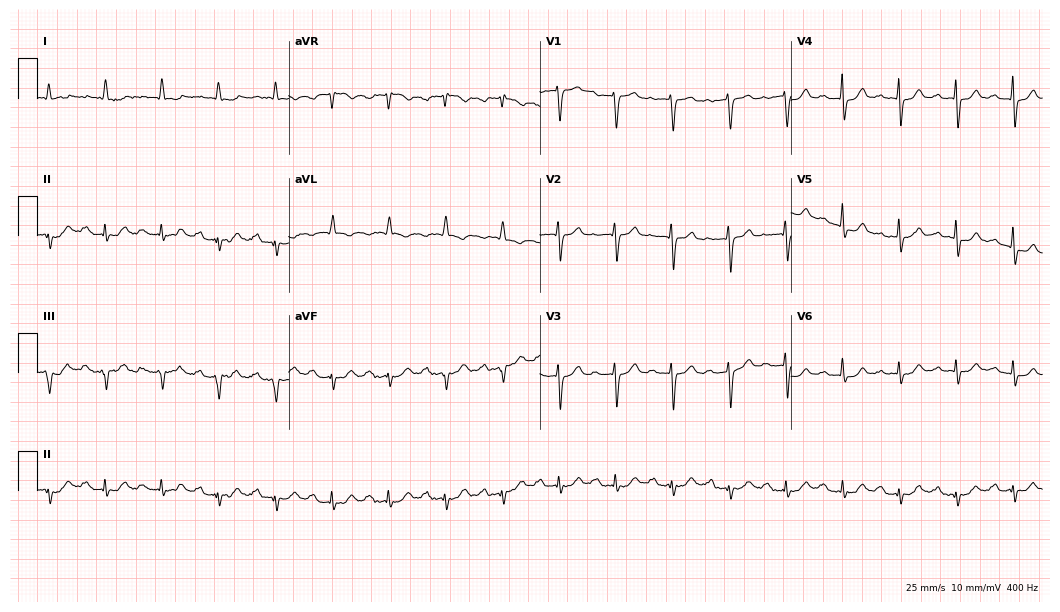
Resting 12-lead electrocardiogram (10.2-second recording at 400 Hz). Patient: a female, 72 years old. The tracing shows atrial fibrillation (AF), sinus tachycardia (a sinus rate of 100 beats per minute or more).